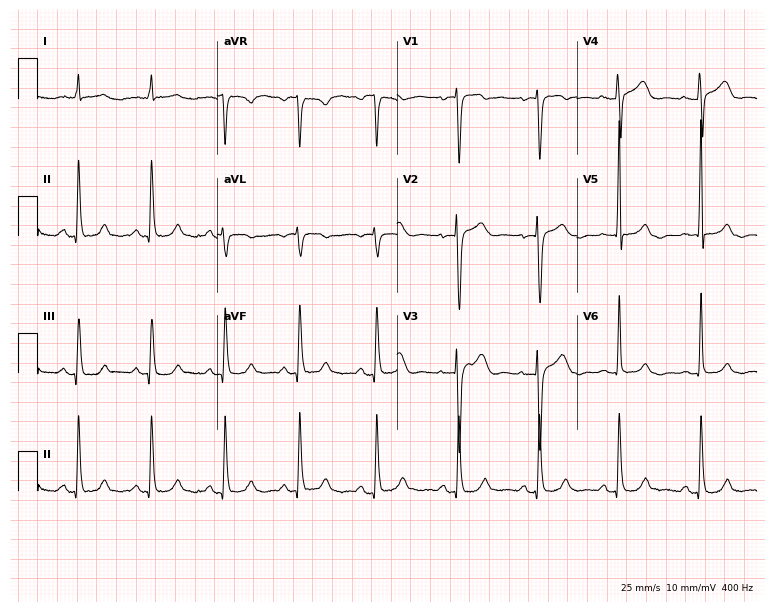
Electrocardiogram (7.3-second recording at 400 Hz), a female patient, 46 years old. Overall reading on record: normal ECG.